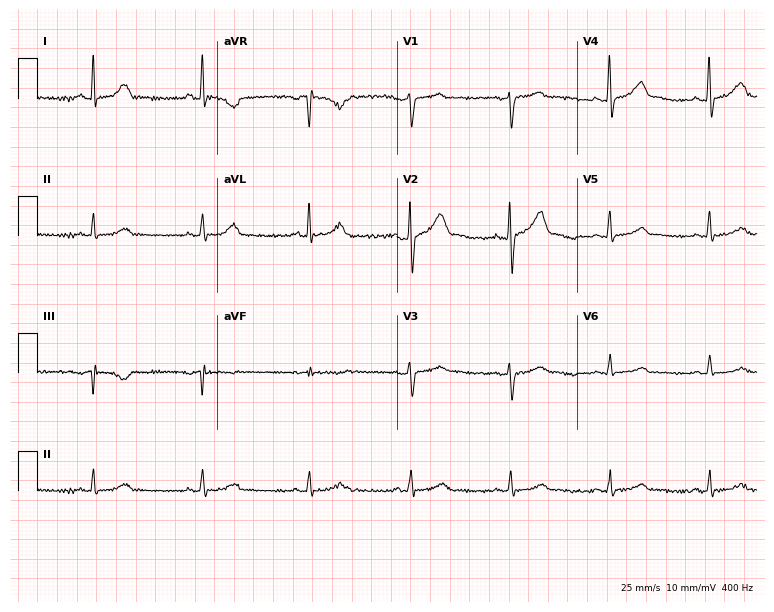
Resting 12-lead electrocardiogram. Patient: a male, 35 years old. Read as a normal ECG.